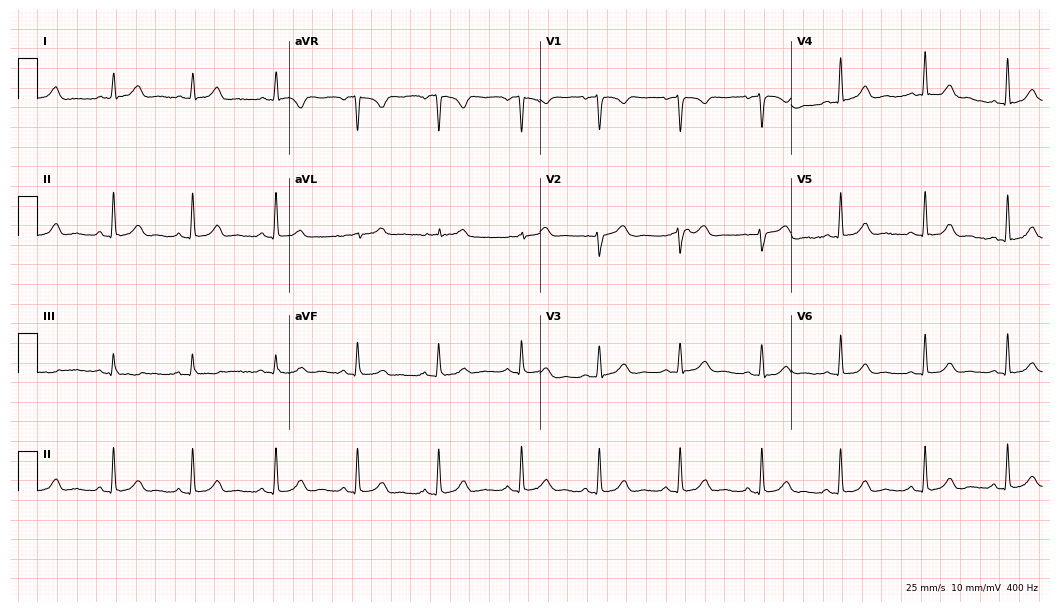
12-lead ECG from a 38-year-old female (10.2-second recording at 400 Hz). Recorded interpretation: within normal limits.